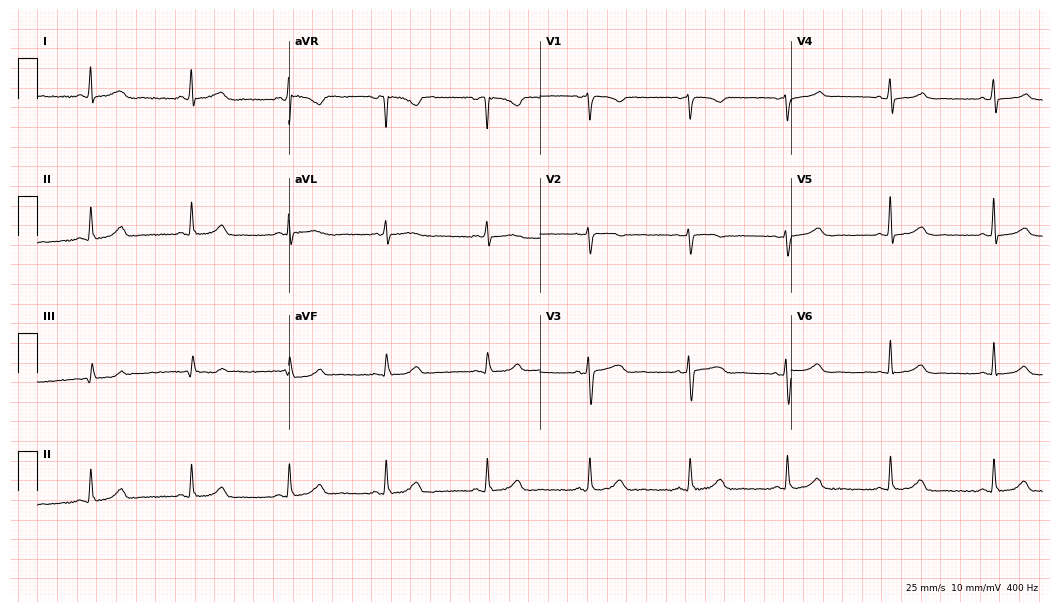
ECG (10.2-second recording at 400 Hz) — a 49-year-old female. Screened for six findings — first-degree AV block, right bundle branch block, left bundle branch block, sinus bradycardia, atrial fibrillation, sinus tachycardia — none is recorded. Other findings, if any, are not listed.